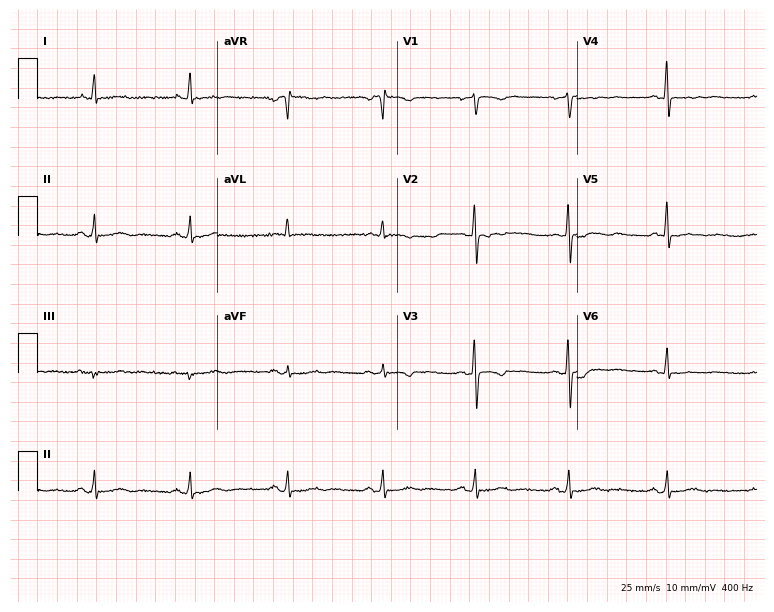
Electrocardiogram (7.3-second recording at 400 Hz), a female patient, 62 years old. Of the six screened findings (first-degree AV block, right bundle branch block (RBBB), left bundle branch block (LBBB), sinus bradycardia, atrial fibrillation (AF), sinus tachycardia), none is recorded. Findings outside these six are not listed.